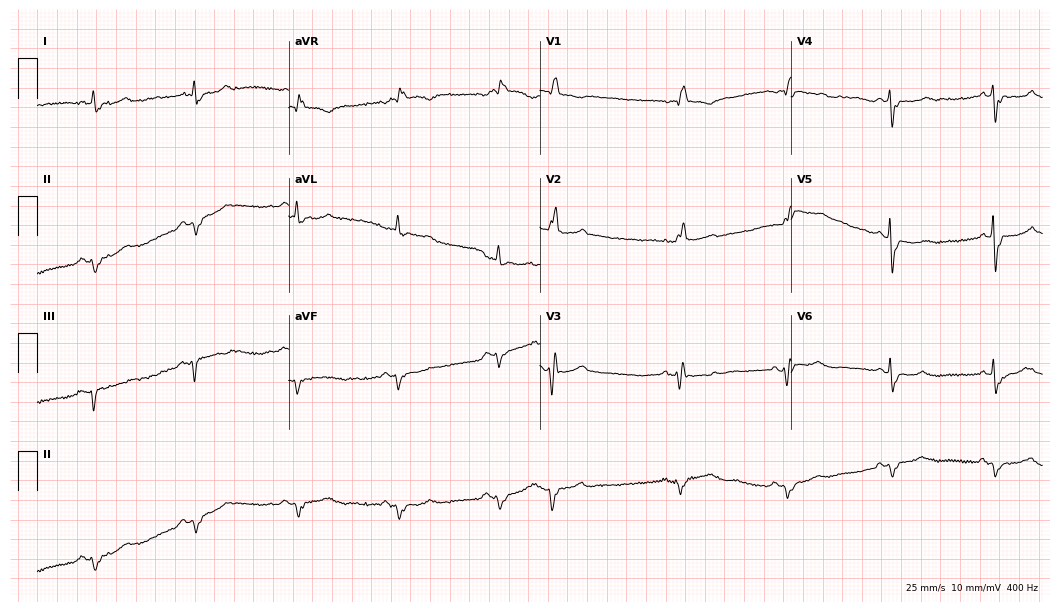
Resting 12-lead electrocardiogram. Patient: an 80-year-old male. None of these six findings is recorded: first-degree AV block, right bundle branch block, left bundle branch block, sinus bradycardia, atrial fibrillation, sinus tachycardia. Only these six findings were labelled.